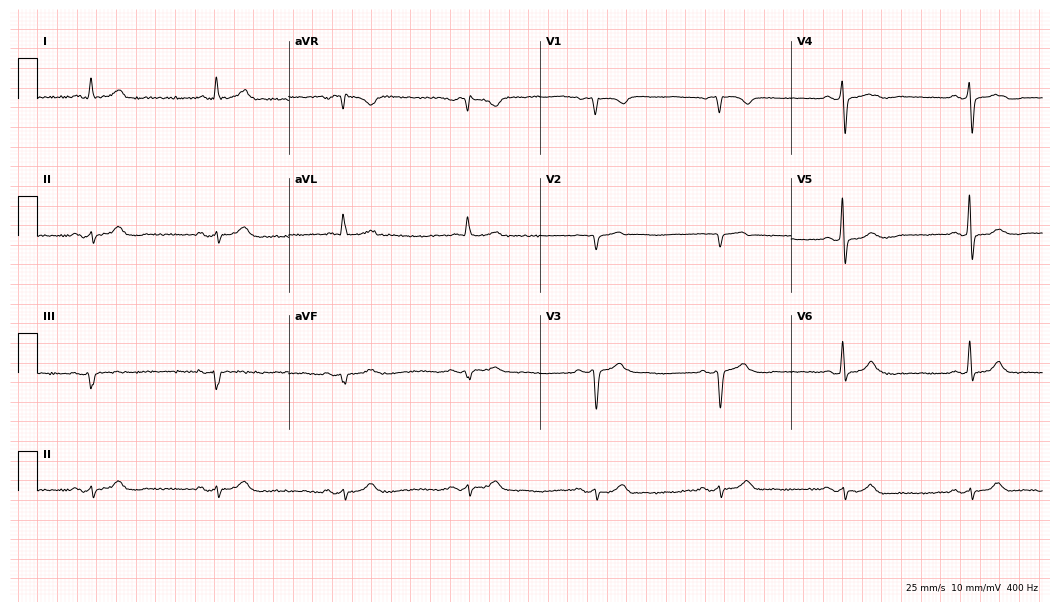
Resting 12-lead electrocardiogram (10.2-second recording at 400 Hz). Patient: a male, 64 years old. The tracing shows sinus bradycardia (a sinus rate of 50 beats per minute or less).